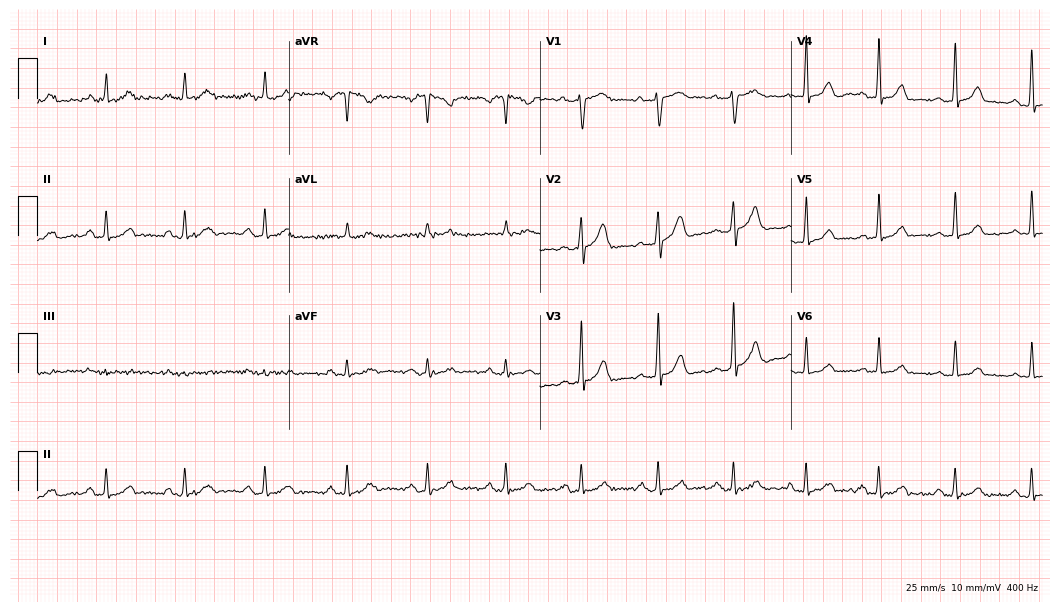
Electrocardiogram (10.2-second recording at 400 Hz), a woman, 36 years old. Overall reading on record: normal ECG.